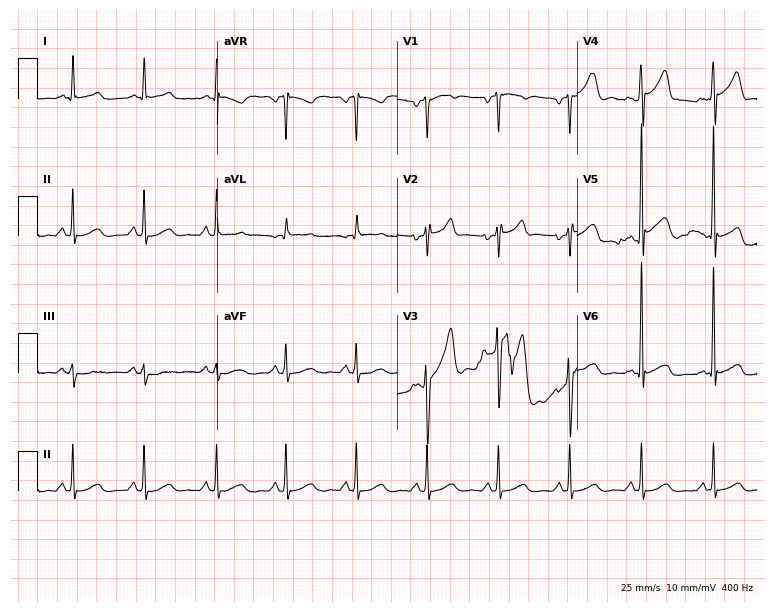
ECG (7.3-second recording at 400 Hz) — a 44-year-old man. Labelled as a normal ECG.